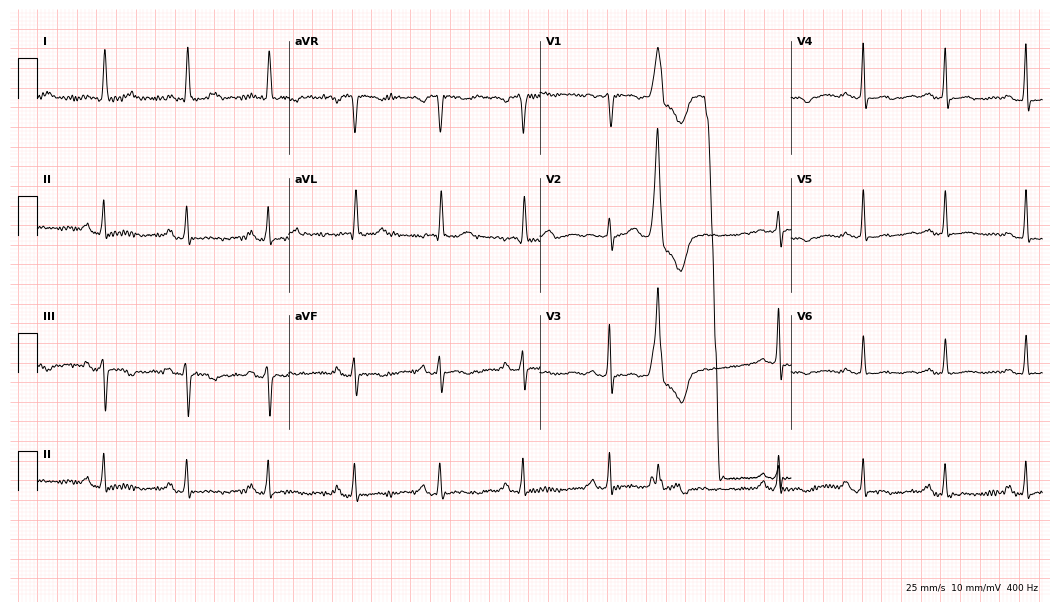
ECG (10.2-second recording at 400 Hz) — a 69-year-old female patient. Screened for six findings — first-degree AV block, right bundle branch block (RBBB), left bundle branch block (LBBB), sinus bradycardia, atrial fibrillation (AF), sinus tachycardia — none is recorded.